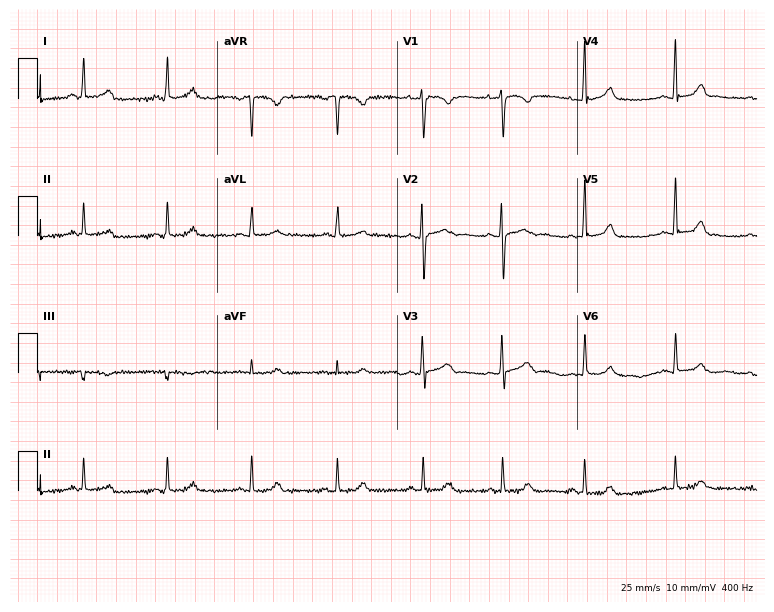
12-lead ECG from a 19-year-old female patient. Labelled as a normal ECG.